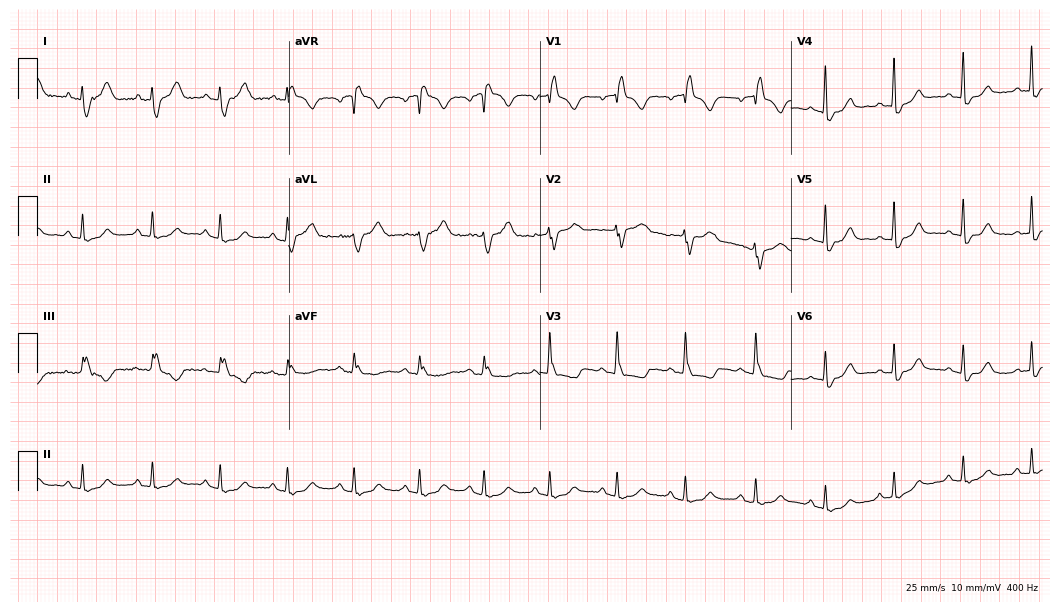
ECG (10.2-second recording at 400 Hz) — a 51-year-old female patient. Findings include right bundle branch block (RBBB).